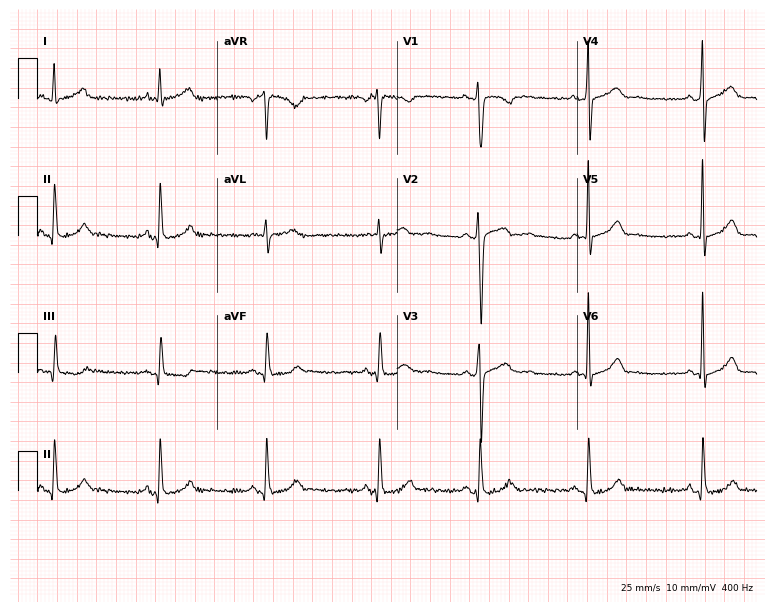
ECG — a female, 17 years old. Screened for six findings — first-degree AV block, right bundle branch block, left bundle branch block, sinus bradycardia, atrial fibrillation, sinus tachycardia — none is recorded. Other findings, if any, are not listed.